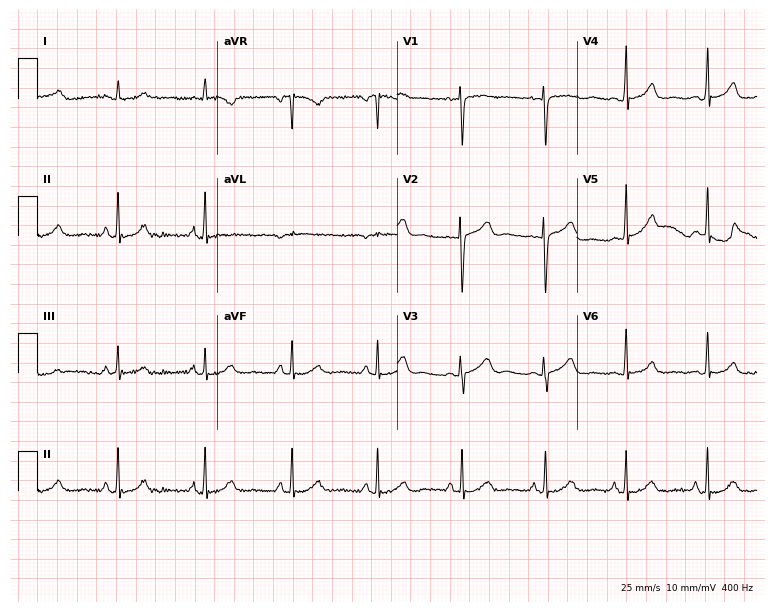
12-lead ECG (7.3-second recording at 400 Hz) from a 48-year-old woman. Labelled as a normal ECG.